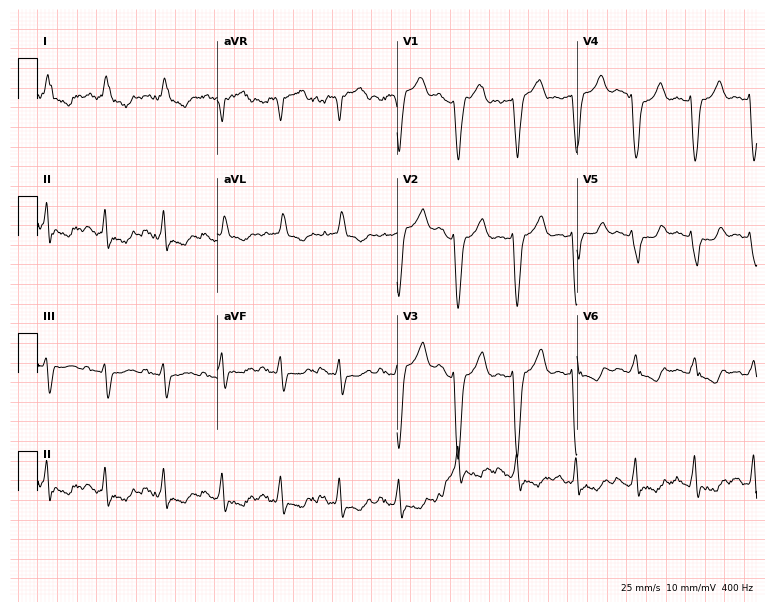
Standard 12-lead ECG recorded from a man, 73 years old (7.3-second recording at 400 Hz). The tracing shows left bundle branch block (LBBB).